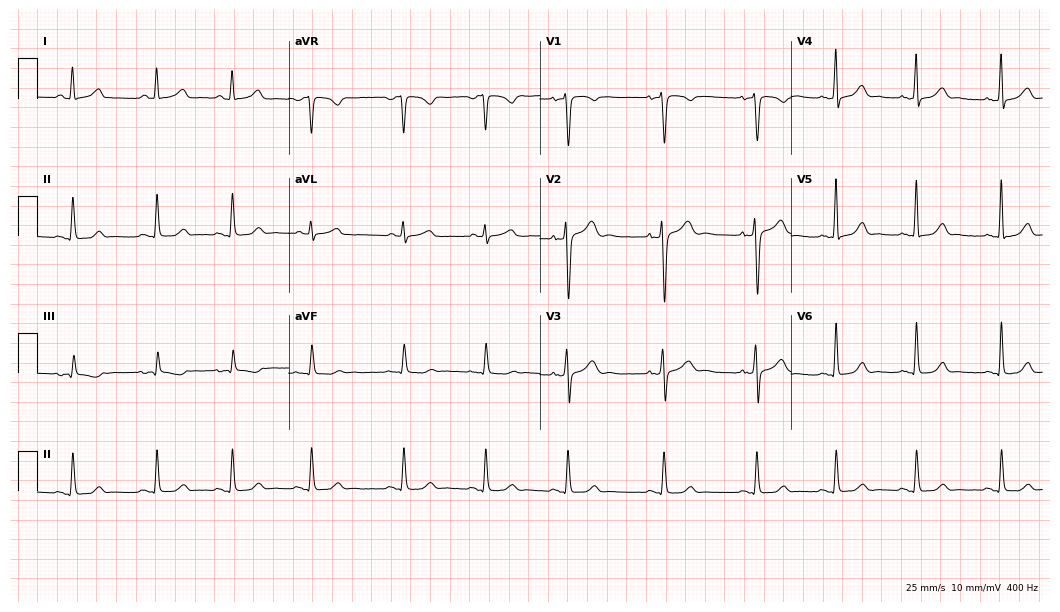
Standard 12-lead ECG recorded from a 23-year-old female patient. Read as a normal ECG.